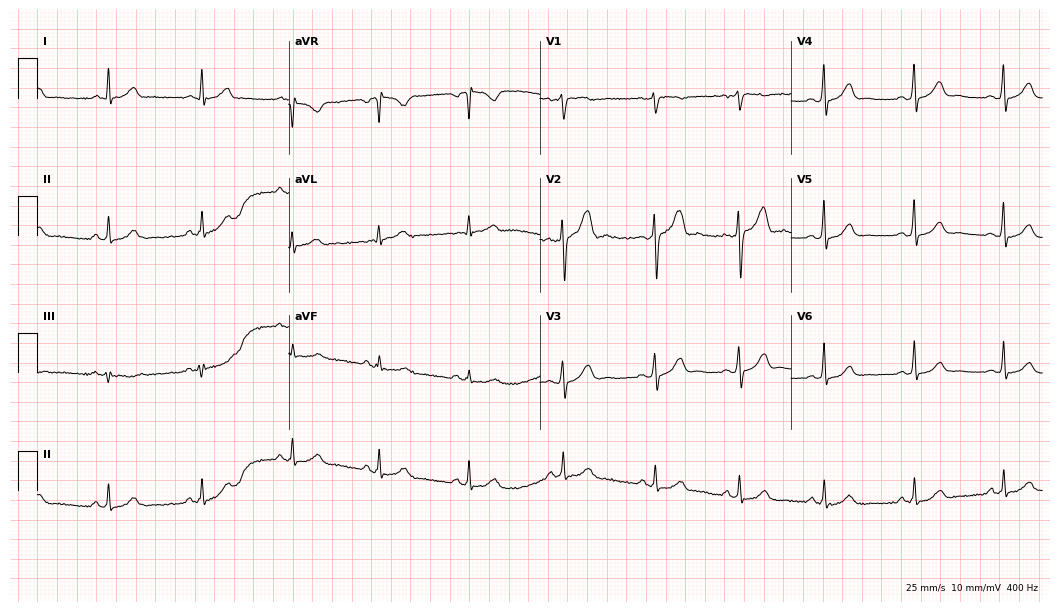
12-lead ECG from a 37-year-old man. Recorded interpretation: within normal limits.